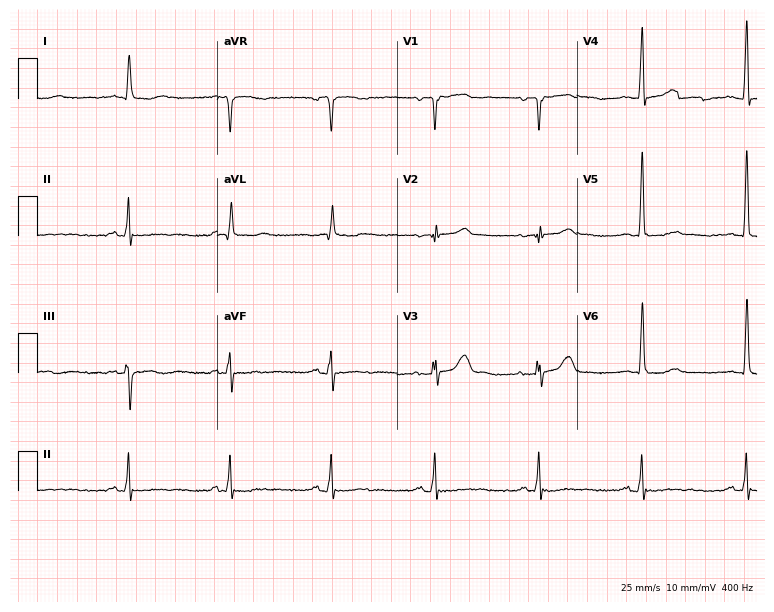
12-lead ECG from a male patient, 61 years old. Screened for six findings — first-degree AV block, right bundle branch block, left bundle branch block, sinus bradycardia, atrial fibrillation, sinus tachycardia — none is recorded.